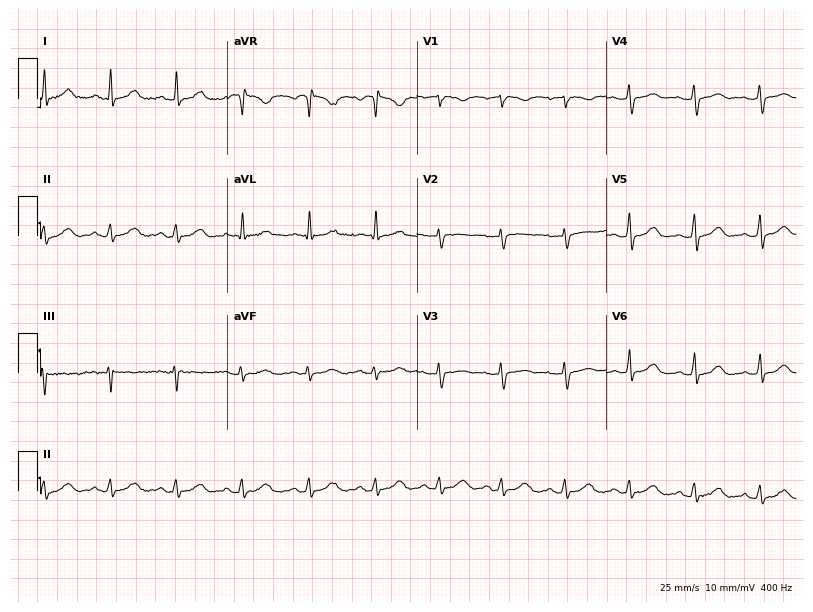
ECG (7.7-second recording at 400 Hz) — a woman, 56 years old. Screened for six findings — first-degree AV block, right bundle branch block (RBBB), left bundle branch block (LBBB), sinus bradycardia, atrial fibrillation (AF), sinus tachycardia — none is recorded.